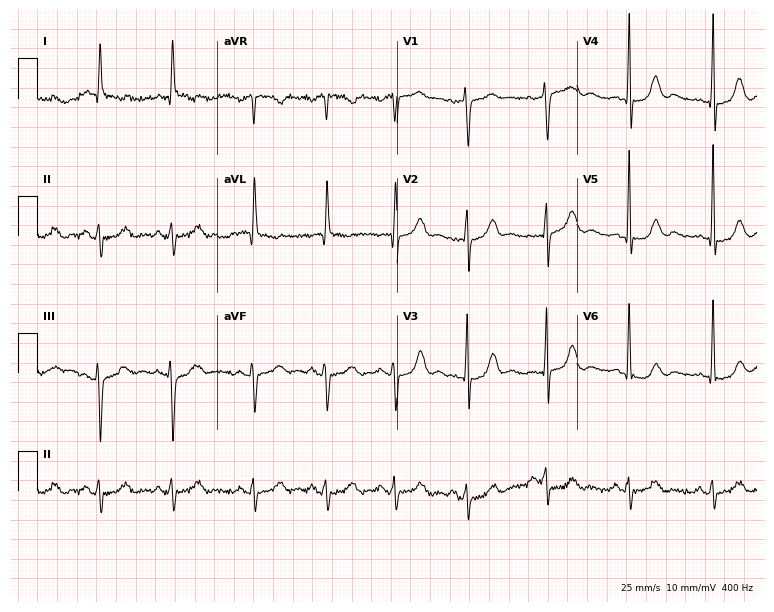
Resting 12-lead electrocardiogram. Patient: a 76-year-old woman. None of these six findings is recorded: first-degree AV block, right bundle branch block (RBBB), left bundle branch block (LBBB), sinus bradycardia, atrial fibrillation (AF), sinus tachycardia. Only these six findings were labelled.